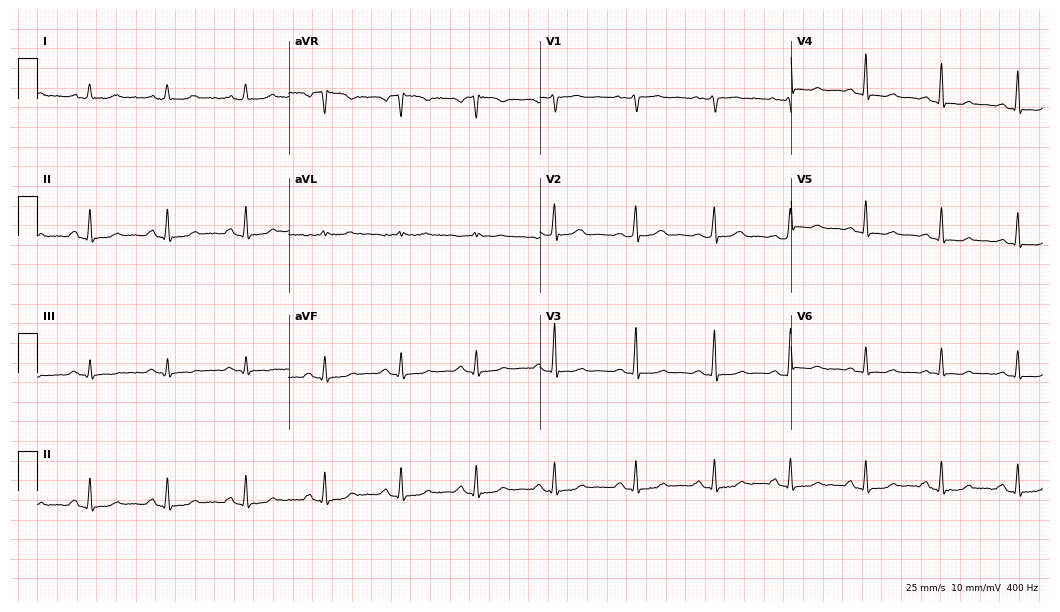
Electrocardiogram (10.2-second recording at 400 Hz), a 38-year-old woman. Of the six screened findings (first-degree AV block, right bundle branch block, left bundle branch block, sinus bradycardia, atrial fibrillation, sinus tachycardia), none is recorded. Other findings, if any, are not listed.